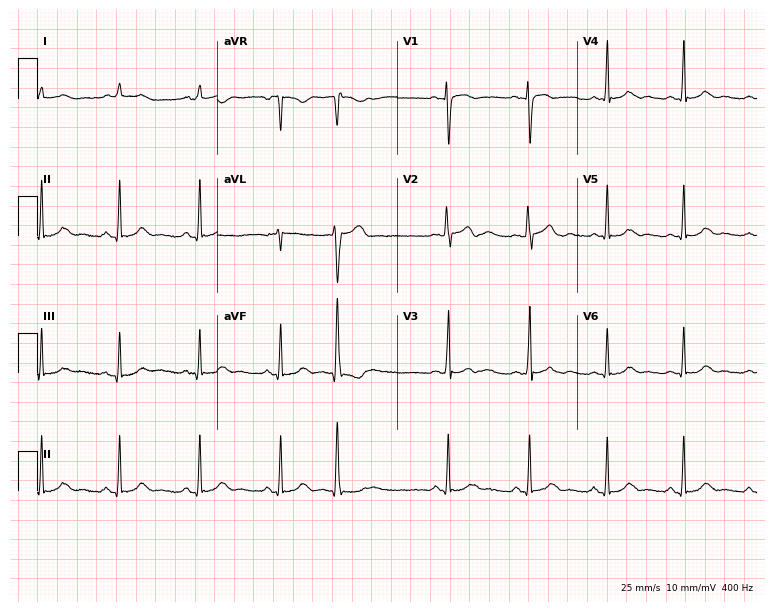
12-lead ECG from a 33-year-old woman. No first-degree AV block, right bundle branch block, left bundle branch block, sinus bradycardia, atrial fibrillation or sinus tachycardia recorded for this tracing.